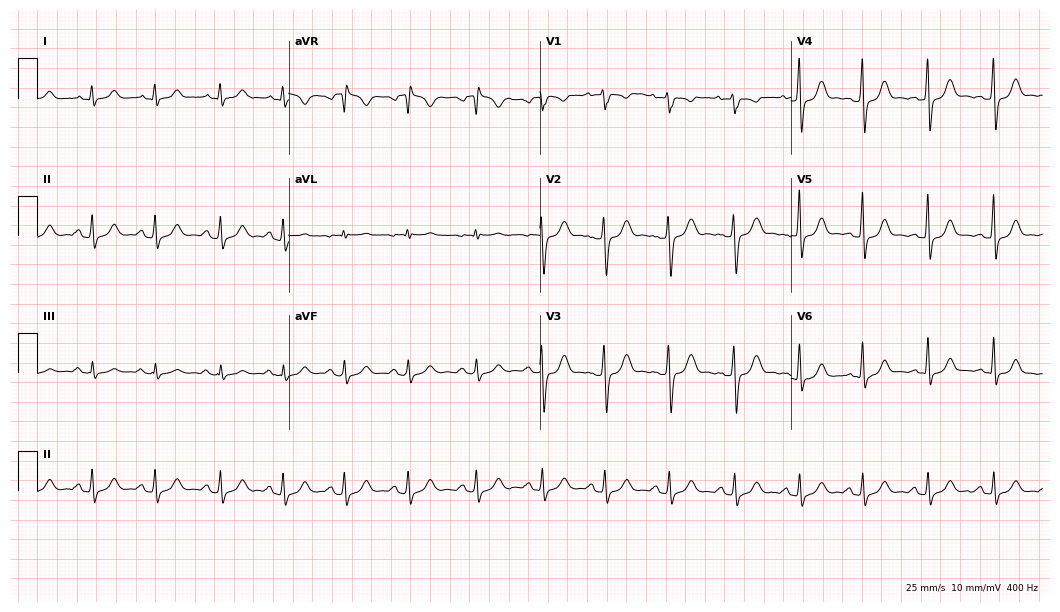
Resting 12-lead electrocardiogram. Patient: a 22-year-old female. None of these six findings is recorded: first-degree AV block, right bundle branch block (RBBB), left bundle branch block (LBBB), sinus bradycardia, atrial fibrillation (AF), sinus tachycardia.